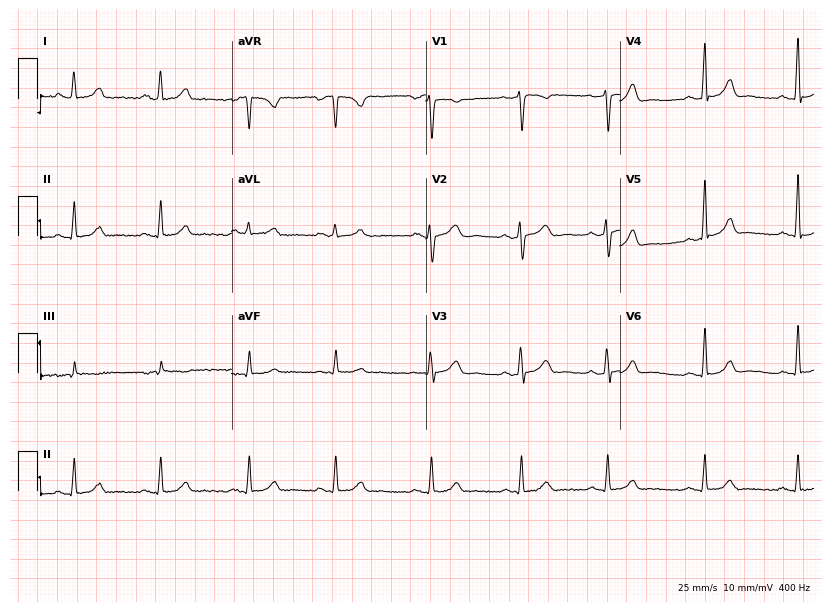
Standard 12-lead ECG recorded from a female, 46 years old. None of these six findings is recorded: first-degree AV block, right bundle branch block, left bundle branch block, sinus bradycardia, atrial fibrillation, sinus tachycardia.